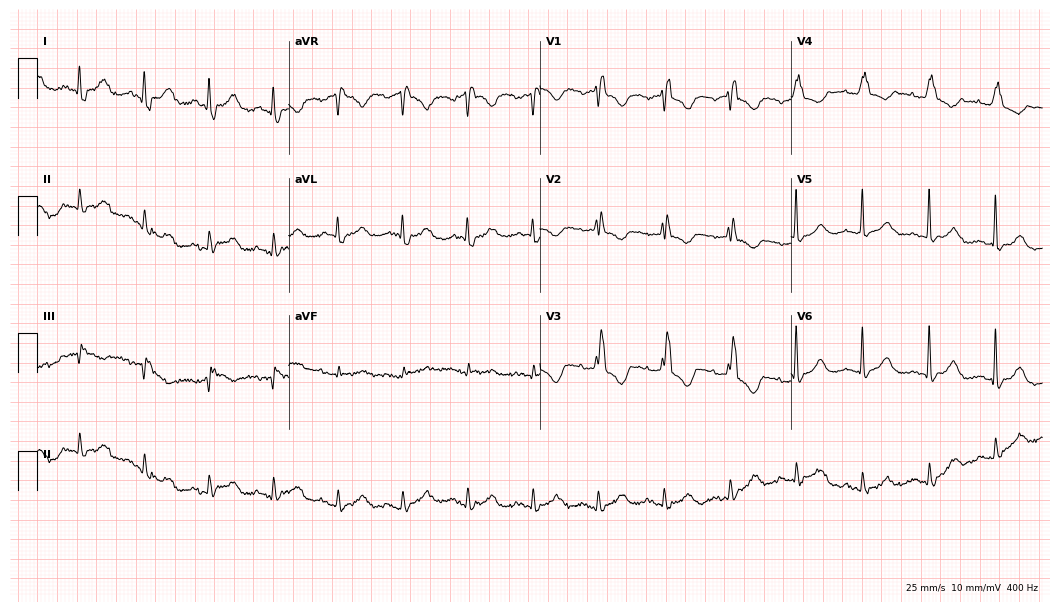
12-lead ECG (10.2-second recording at 400 Hz) from a female patient, 80 years old. Screened for six findings — first-degree AV block, right bundle branch block (RBBB), left bundle branch block (LBBB), sinus bradycardia, atrial fibrillation (AF), sinus tachycardia — none is recorded. Only these six findings were labelled.